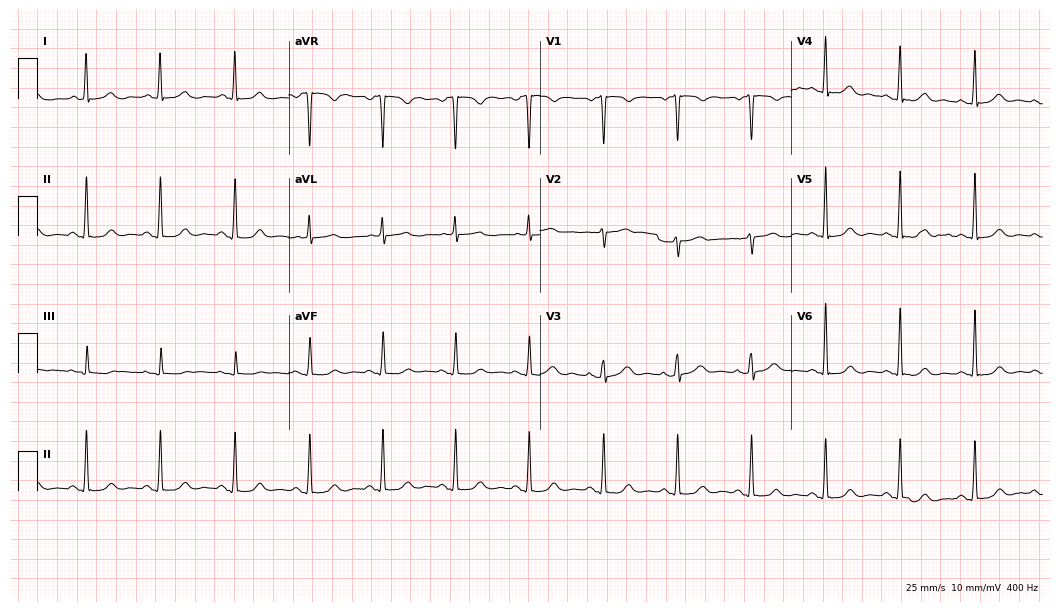
12-lead ECG from a female, 65 years old. Recorded interpretation: within normal limits.